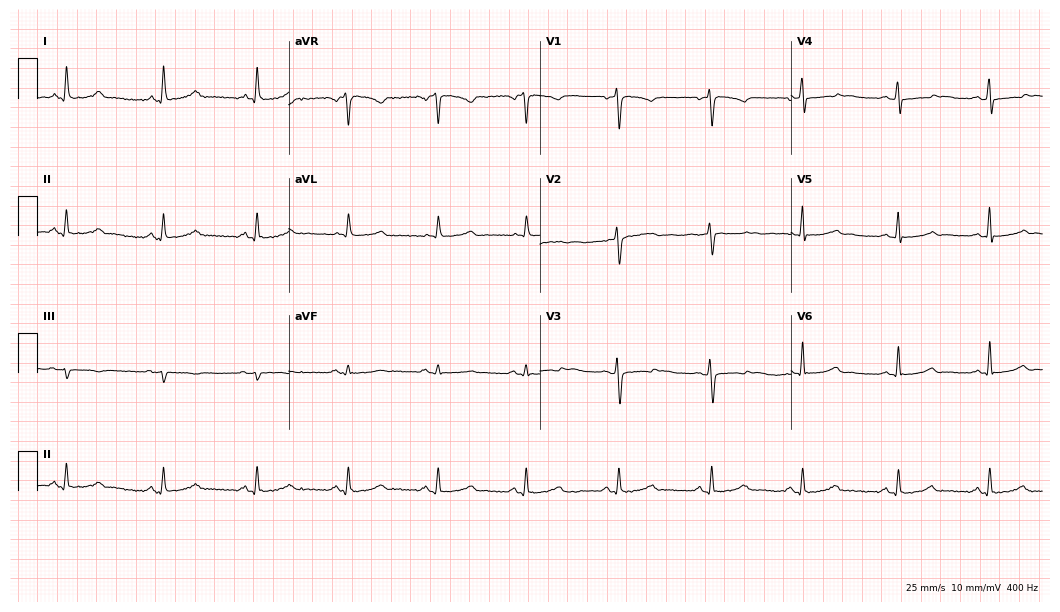
12-lead ECG (10.2-second recording at 400 Hz) from a 31-year-old woman. Screened for six findings — first-degree AV block, right bundle branch block (RBBB), left bundle branch block (LBBB), sinus bradycardia, atrial fibrillation (AF), sinus tachycardia — none is recorded. Findings outside these six are not listed.